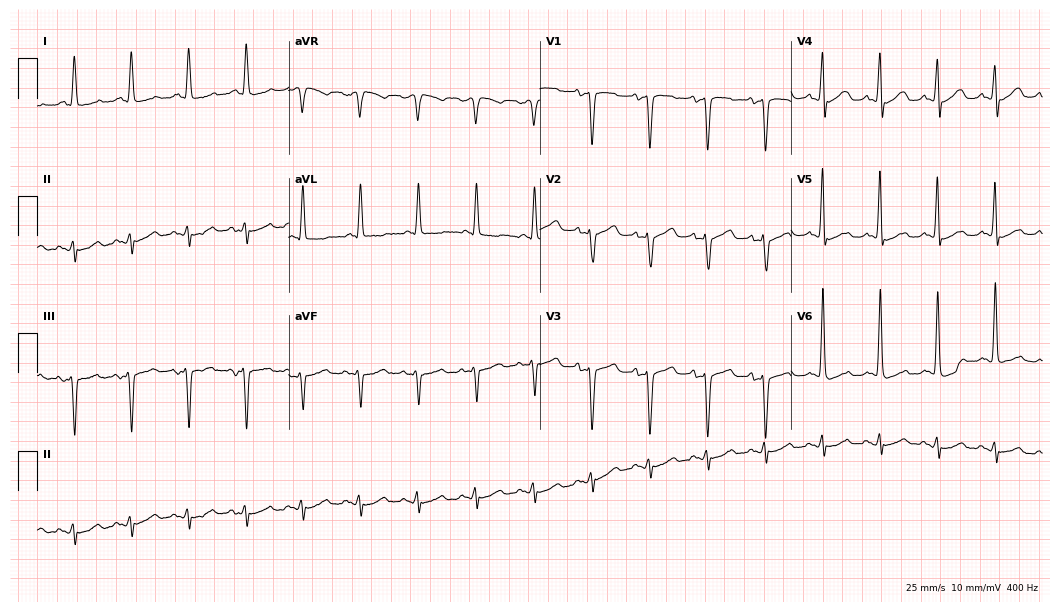
Resting 12-lead electrocardiogram. Patient: an 81-year-old female. None of these six findings is recorded: first-degree AV block, right bundle branch block, left bundle branch block, sinus bradycardia, atrial fibrillation, sinus tachycardia.